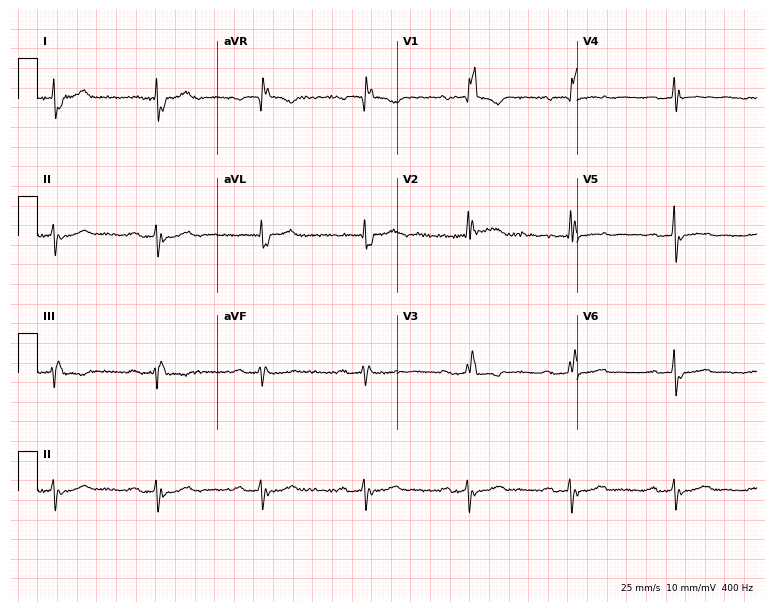
12-lead ECG from a woman, 85 years old. Shows right bundle branch block.